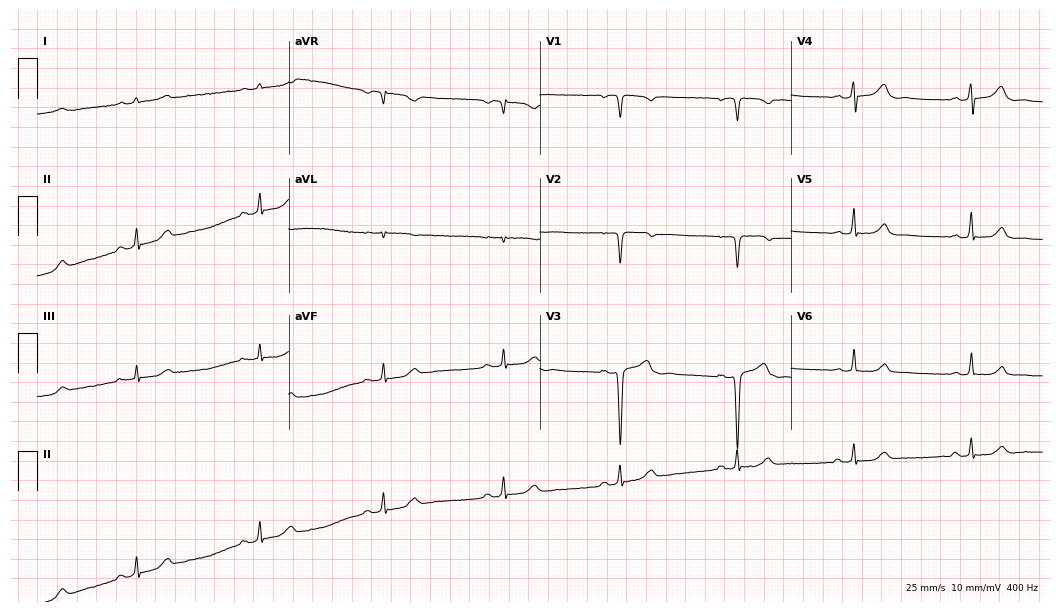
Resting 12-lead electrocardiogram. Patient: a 40-year-old female. None of these six findings is recorded: first-degree AV block, right bundle branch block (RBBB), left bundle branch block (LBBB), sinus bradycardia, atrial fibrillation (AF), sinus tachycardia.